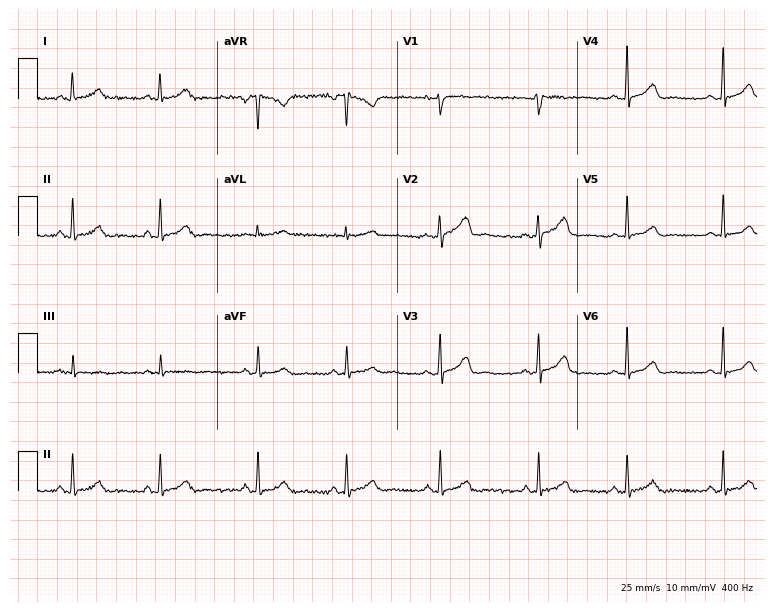
ECG (7.3-second recording at 400 Hz) — a 47-year-old woman. Labelled as a normal ECG.